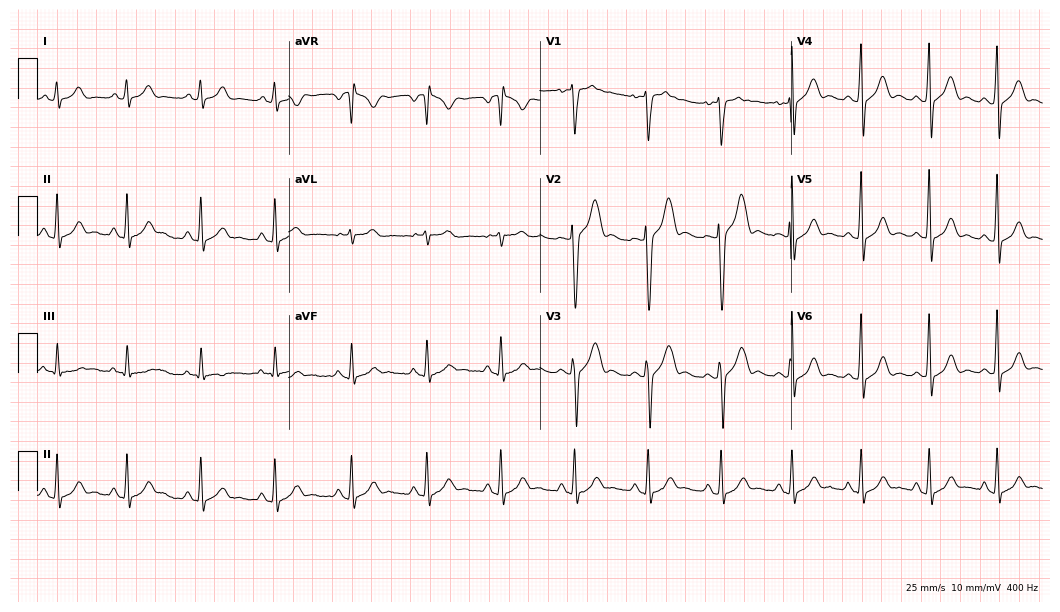
Electrocardiogram (10.2-second recording at 400 Hz), a 21-year-old man. Overall reading on record: normal ECG.